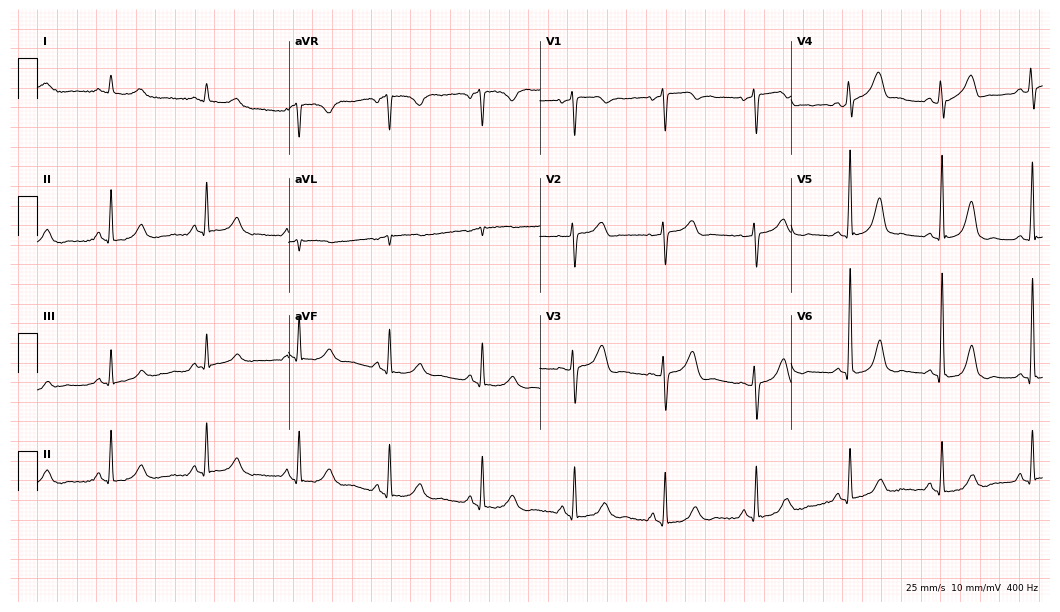
12-lead ECG (10.2-second recording at 400 Hz) from a 54-year-old female patient. Labelled as a normal ECG.